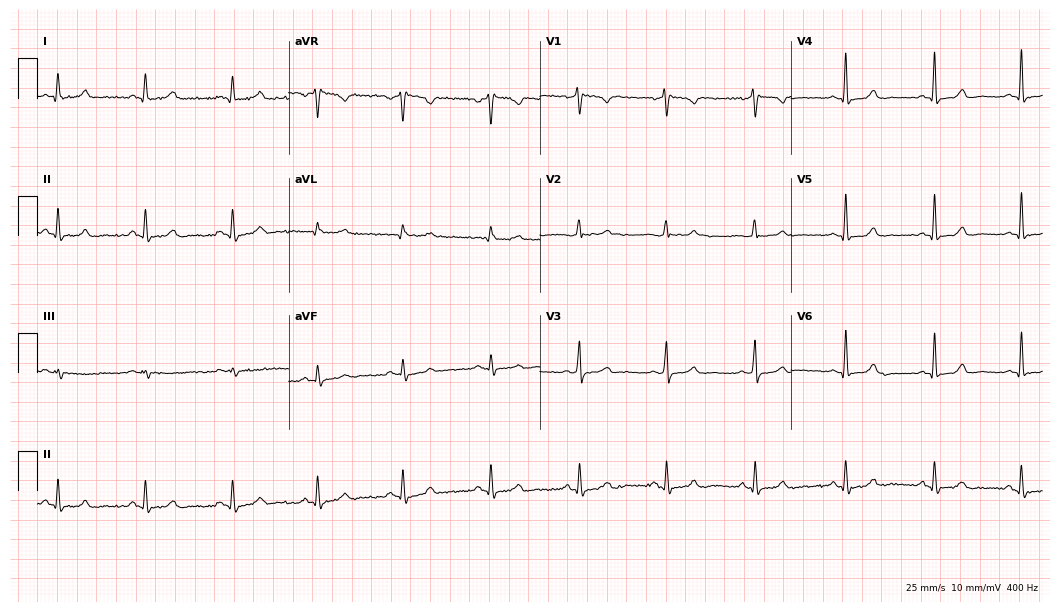
Resting 12-lead electrocardiogram (10.2-second recording at 400 Hz). Patient: a 40-year-old woman. None of these six findings is recorded: first-degree AV block, right bundle branch block, left bundle branch block, sinus bradycardia, atrial fibrillation, sinus tachycardia. Only these six findings were labelled.